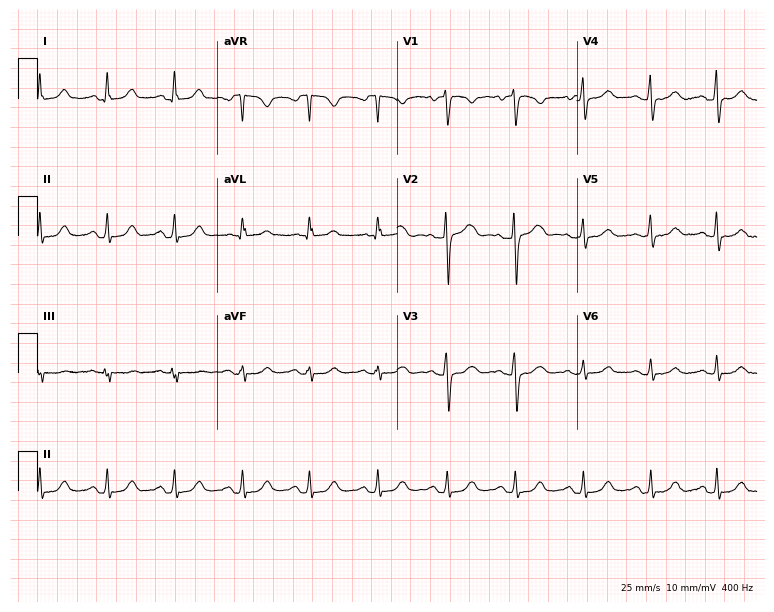
ECG (7.3-second recording at 400 Hz) — a 40-year-old woman. Labelled as a normal ECG.